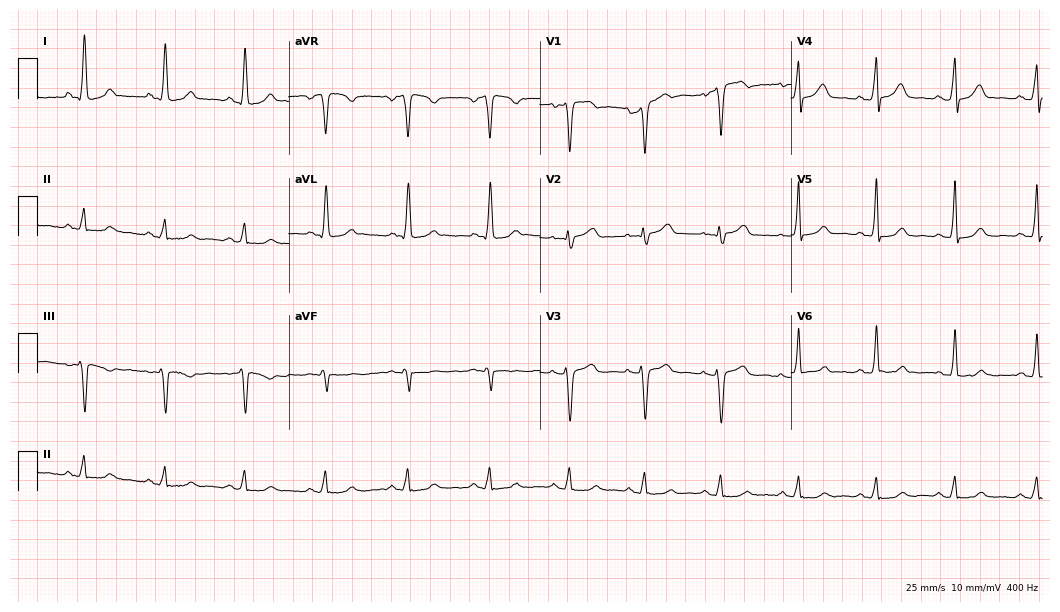
Electrocardiogram, a 48-year-old woman. Of the six screened findings (first-degree AV block, right bundle branch block (RBBB), left bundle branch block (LBBB), sinus bradycardia, atrial fibrillation (AF), sinus tachycardia), none is recorded. Other findings, if any, are not listed.